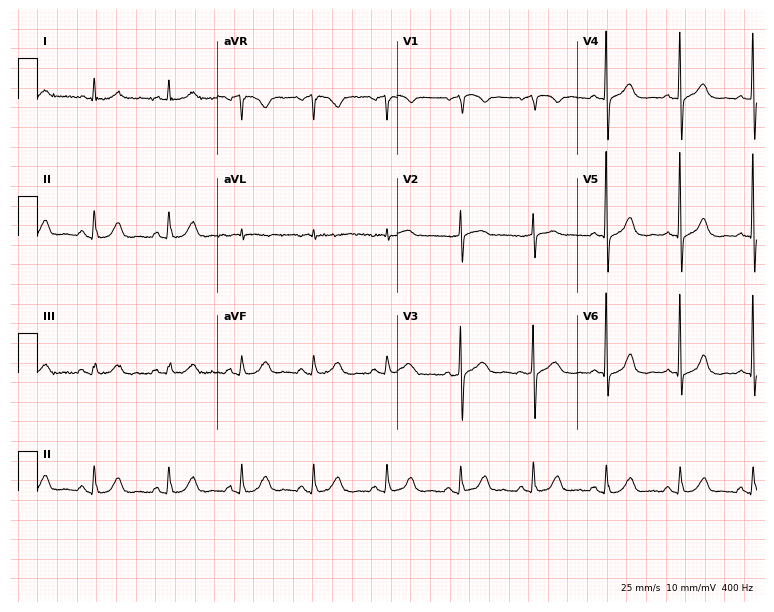
Resting 12-lead electrocardiogram. Patient: a 78-year-old female. Read as a normal ECG.